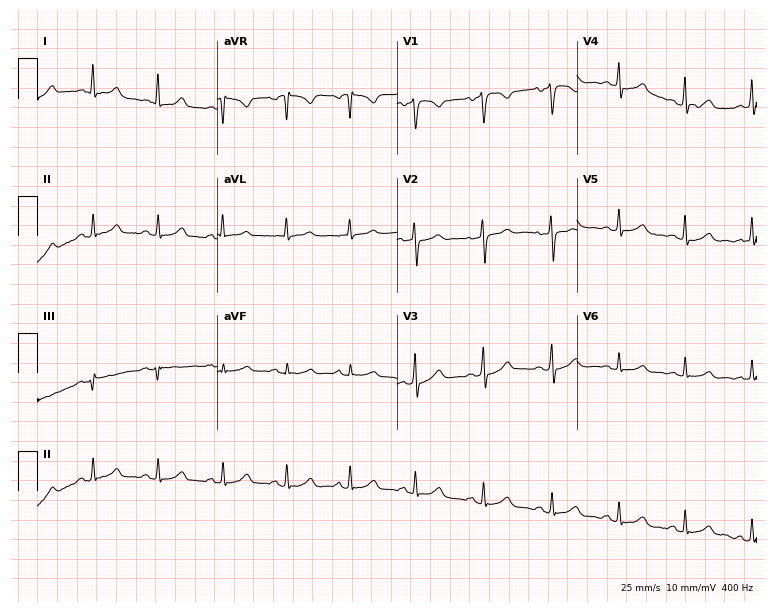
ECG — a 56-year-old female patient. Screened for six findings — first-degree AV block, right bundle branch block (RBBB), left bundle branch block (LBBB), sinus bradycardia, atrial fibrillation (AF), sinus tachycardia — none is recorded.